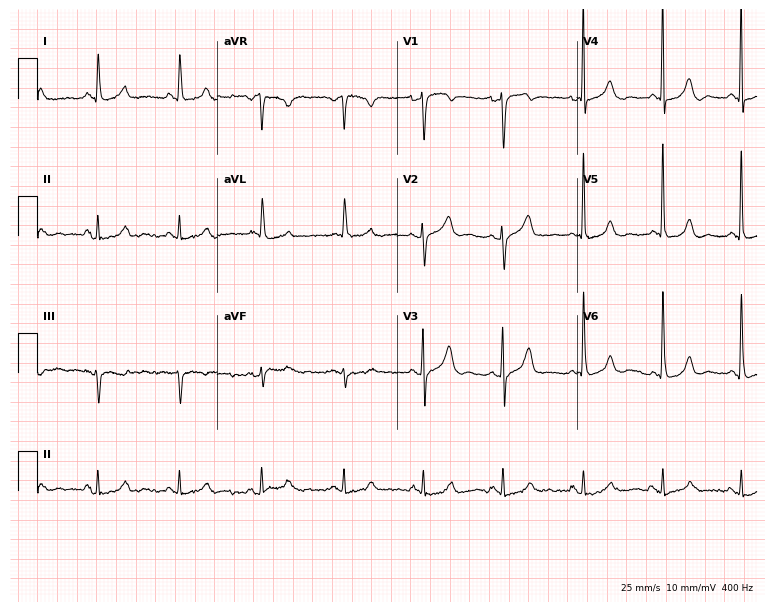
Resting 12-lead electrocardiogram (7.3-second recording at 400 Hz). Patient: a woman, 71 years old. None of these six findings is recorded: first-degree AV block, right bundle branch block, left bundle branch block, sinus bradycardia, atrial fibrillation, sinus tachycardia. Other findings, if any, are not listed.